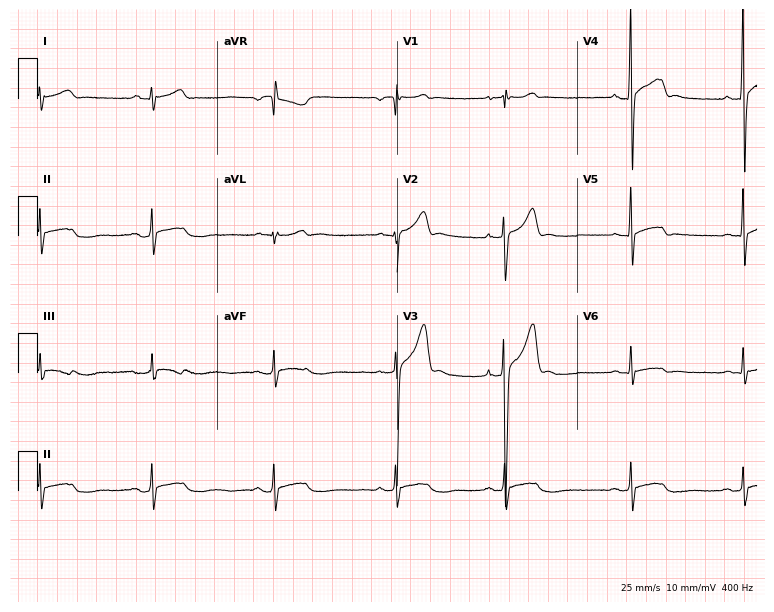
Resting 12-lead electrocardiogram. Patient: an 18-year-old male. Read as a normal ECG.